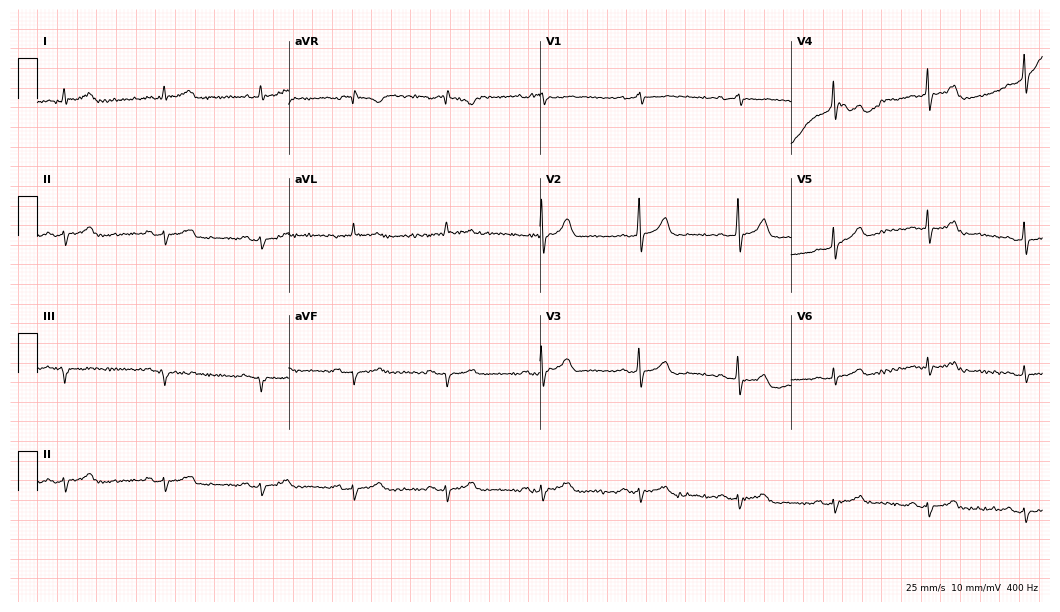
12-lead ECG from a 72-year-old man (10.2-second recording at 400 Hz). No first-degree AV block, right bundle branch block (RBBB), left bundle branch block (LBBB), sinus bradycardia, atrial fibrillation (AF) or sinus tachycardia recorded for this tracing. Only these six findings were labelled.